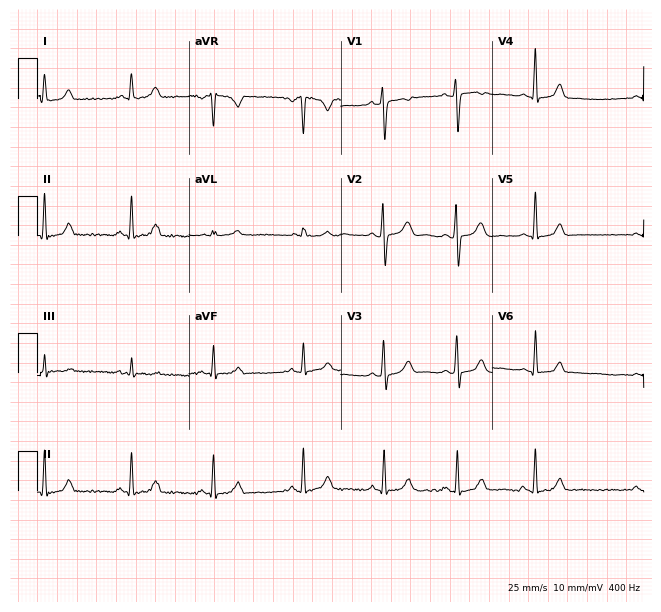
12-lead ECG from a 21-year-old female patient. No first-degree AV block, right bundle branch block, left bundle branch block, sinus bradycardia, atrial fibrillation or sinus tachycardia recorded for this tracing.